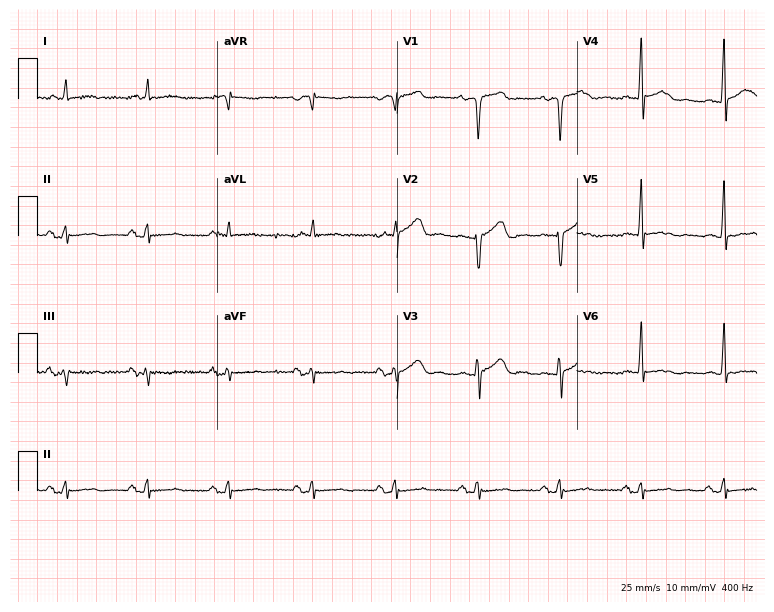
ECG (7.3-second recording at 400 Hz) — a 76-year-old male. Screened for six findings — first-degree AV block, right bundle branch block (RBBB), left bundle branch block (LBBB), sinus bradycardia, atrial fibrillation (AF), sinus tachycardia — none is recorded. Findings outside these six are not listed.